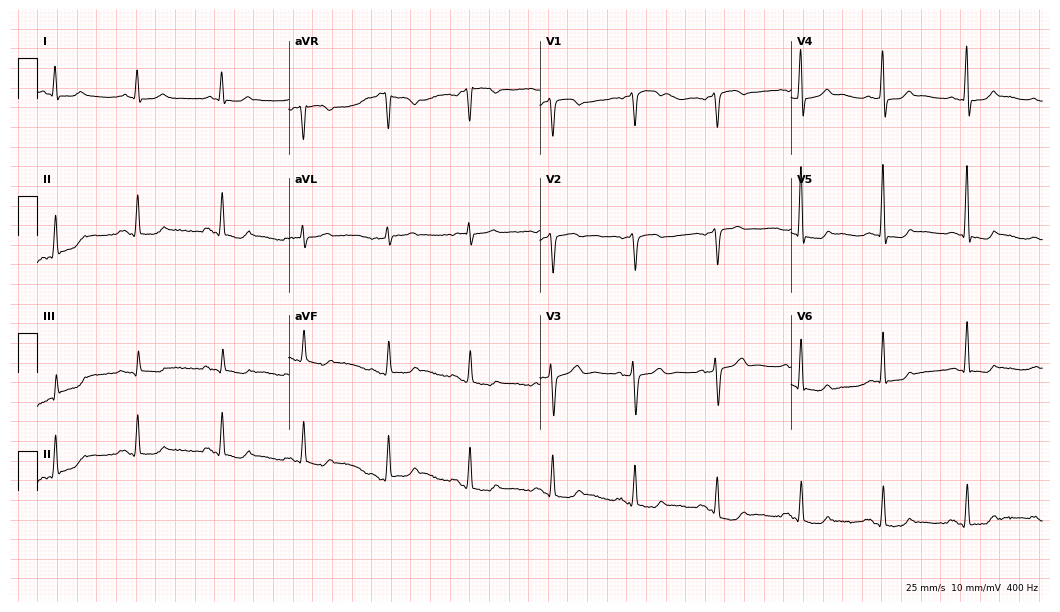
ECG (10.2-second recording at 400 Hz) — a female patient, 65 years old. Screened for six findings — first-degree AV block, right bundle branch block (RBBB), left bundle branch block (LBBB), sinus bradycardia, atrial fibrillation (AF), sinus tachycardia — none is recorded.